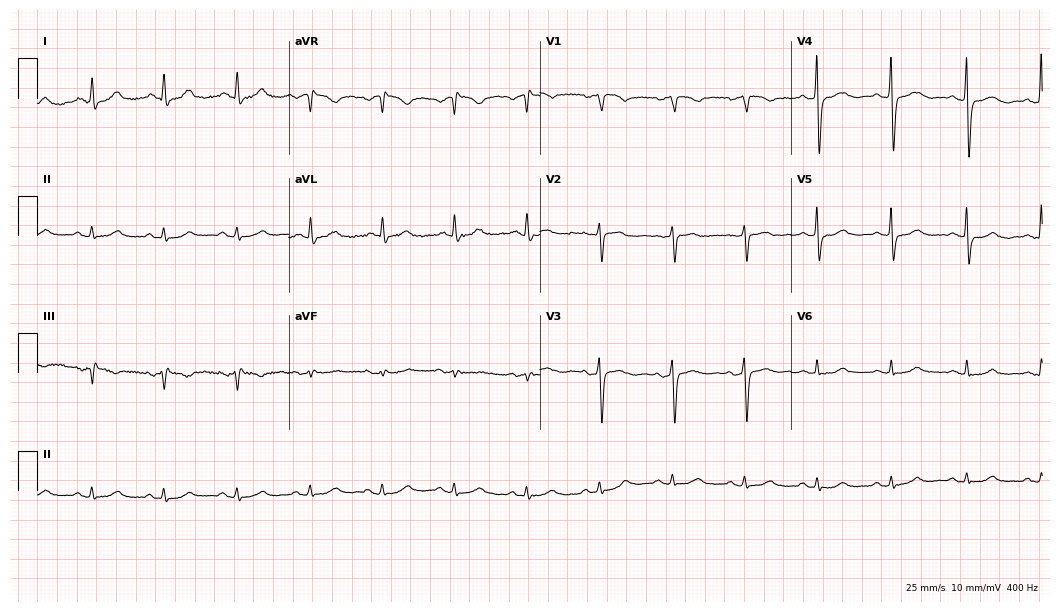
Standard 12-lead ECG recorded from a woman, 65 years old (10.2-second recording at 400 Hz). Read as a normal ECG.